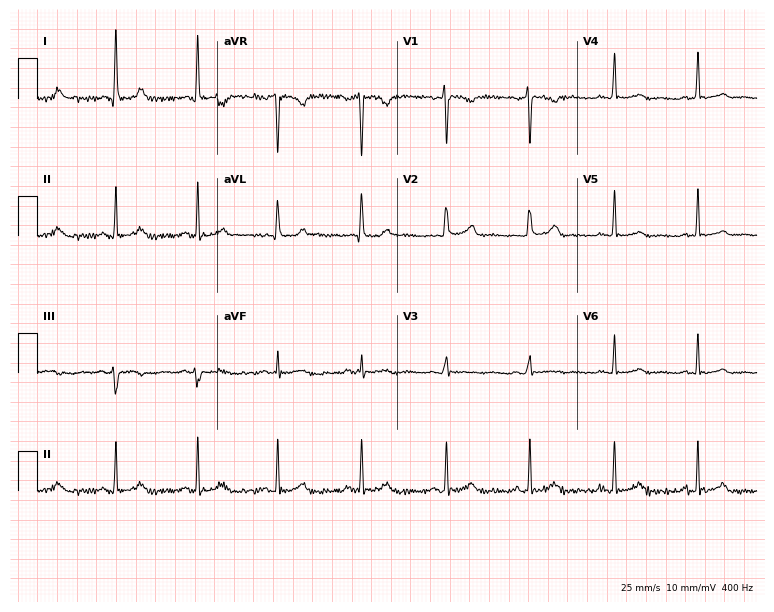
12-lead ECG from a female patient, 36 years old. Screened for six findings — first-degree AV block, right bundle branch block, left bundle branch block, sinus bradycardia, atrial fibrillation, sinus tachycardia — none is recorded. Other findings, if any, are not listed.